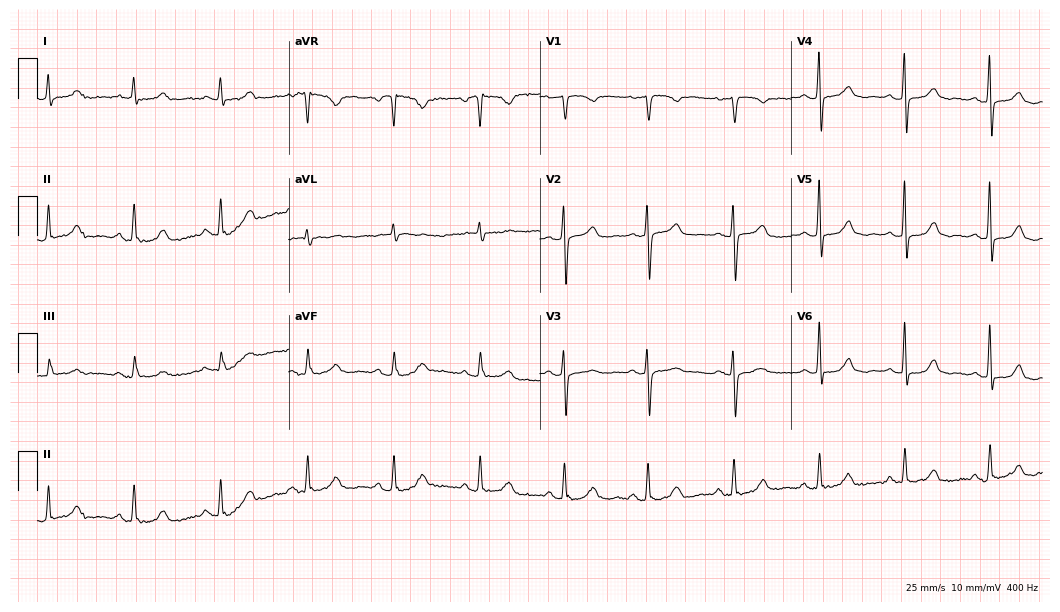
Resting 12-lead electrocardiogram. Patient: a female, 61 years old. None of these six findings is recorded: first-degree AV block, right bundle branch block, left bundle branch block, sinus bradycardia, atrial fibrillation, sinus tachycardia. Findings outside these six are not listed.